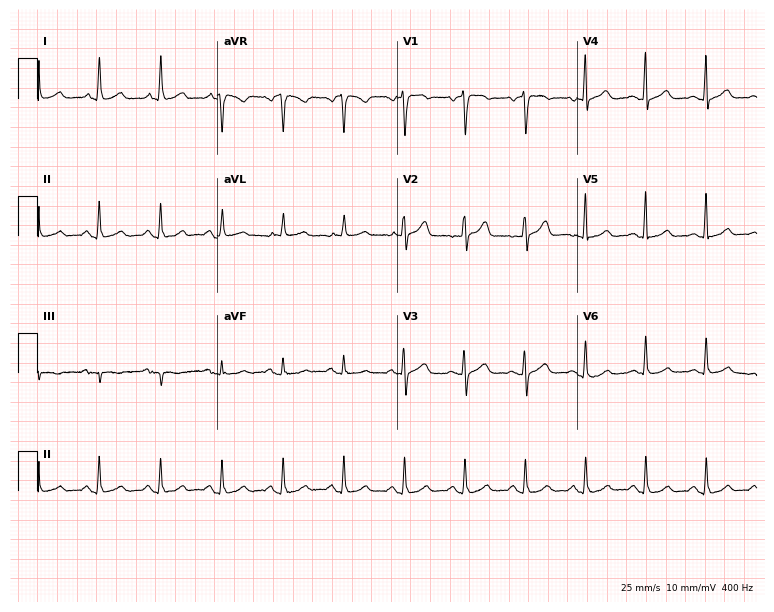
12-lead ECG from a female, 63 years old. Recorded interpretation: within normal limits.